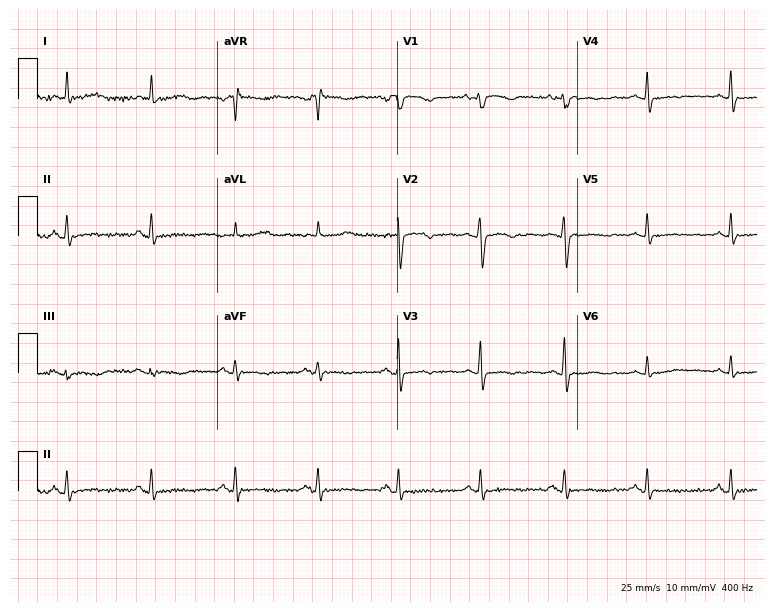
12-lead ECG from a 76-year-old female patient (7.3-second recording at 400 Hz). No first-degree AV block, right bundle branch block, left bundle branch block, sinus bradycardia, atrial fibrillation or sinus tachycardia recorded for this tracing.